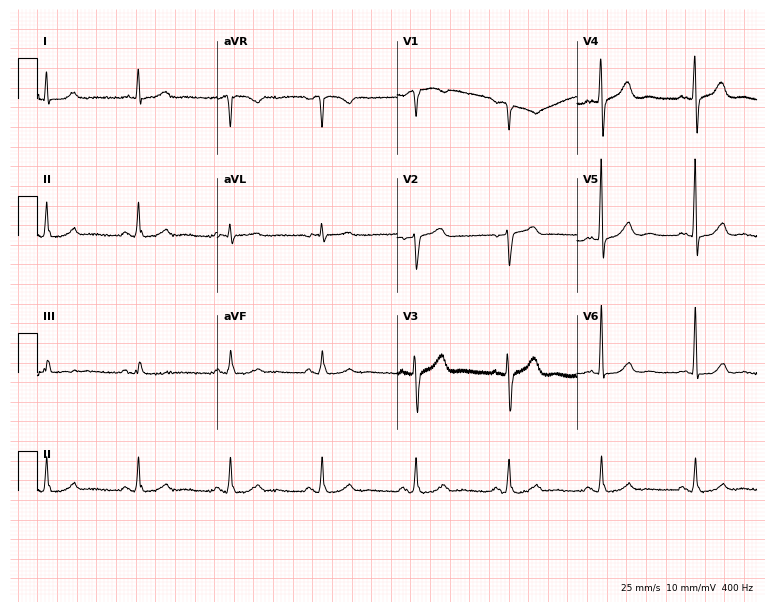
12-lead ECG (7.3-second recording at 400 Hz) from a man, 82 years old. Screened for six findings — first-degree AV block, right bundle branch block, left bundle branch block, sinus bradycardia, atrial fibrillation, sinus tachycardia — none is recorded.